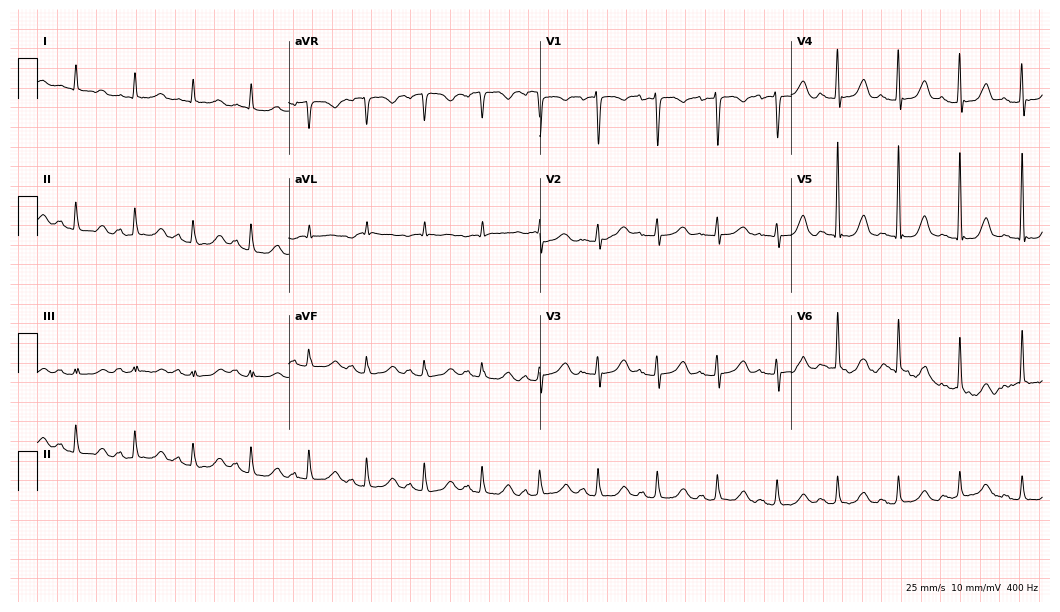
Resting 12-lead electrocardiogram (10.2-second recording at 400 Hz). Patient: a female, 78 years old. Read as a normal ECG.